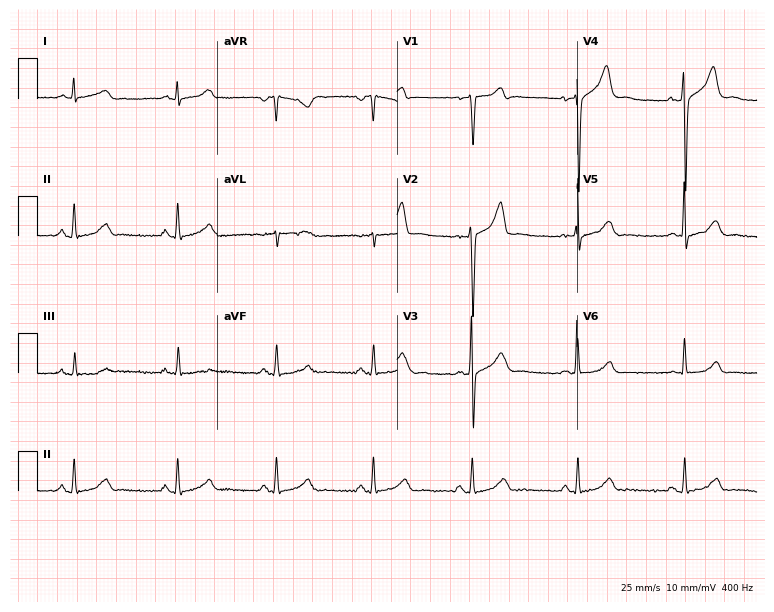
12-lead ECG from a male patient, 49 years old. Labelled as a normal ECG.